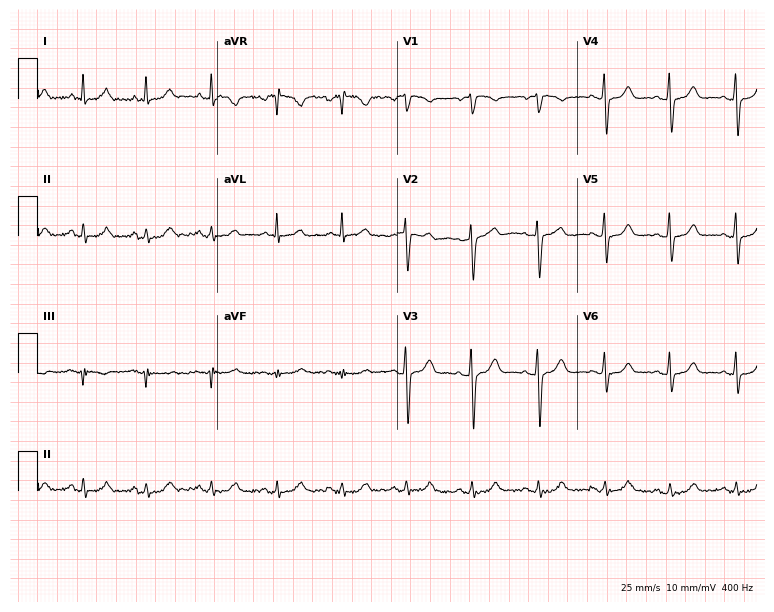
Standard 12-lead ECG recorded from a 48-year-old female patient. None of these six findings is recorded: first-degree AV block, right bundle branch block (RBBB), left bundle branch block (LBBB), sinus bradycardia, atrial fibrillation (AF), sinus tachycardia.